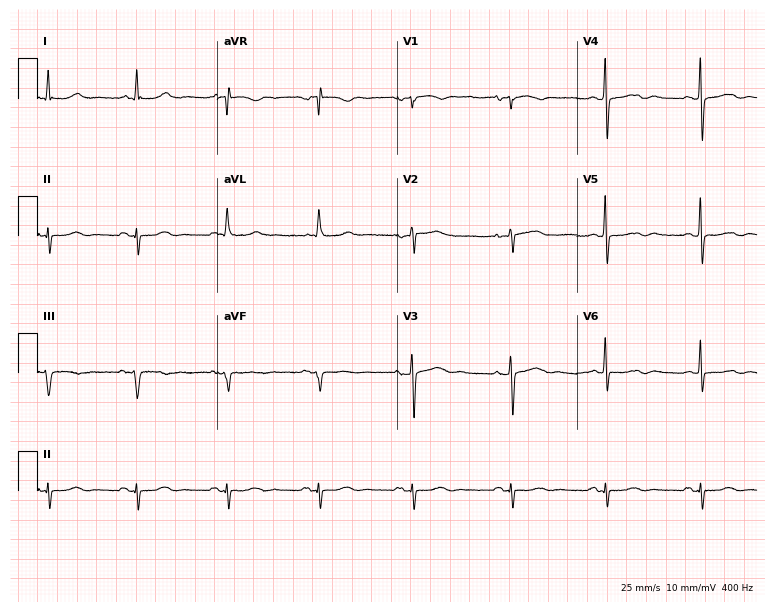
Standard 12-lead ECG recorded from a female, 77 years old. None of these six findings is recorded: first-degree AV block, right bundle branch block, left bundle branch block, sinus bradycardia, atrial fibrillation, sinus tachycardia. Other findings, if any, are not listed.